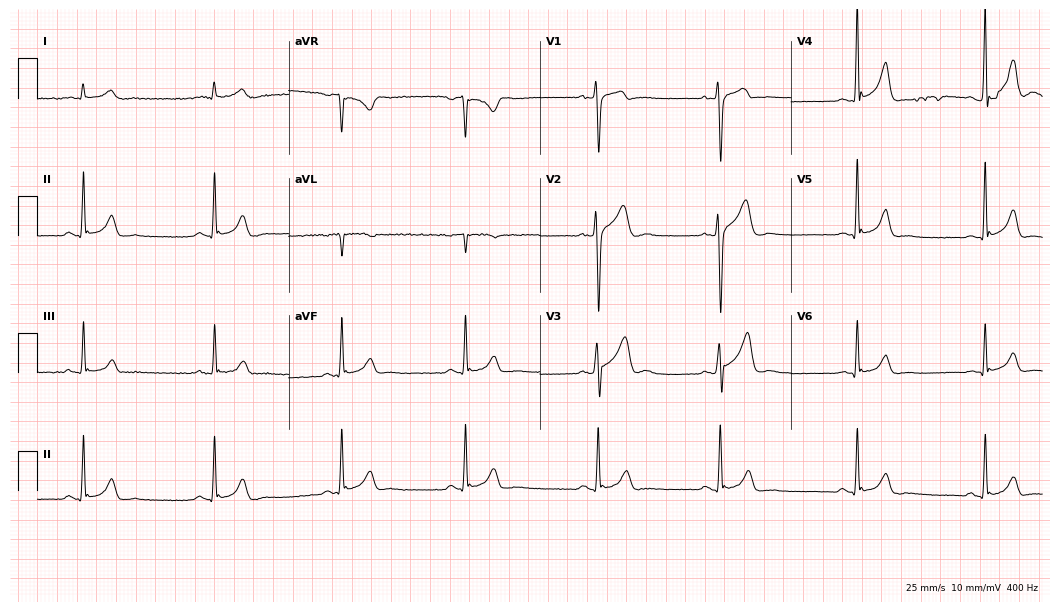
Standard 12-lead ECG recorded from a 28-year-old man. The tracing shows sinus bradycardia (a sinus rate of 50 beats per minute or less).